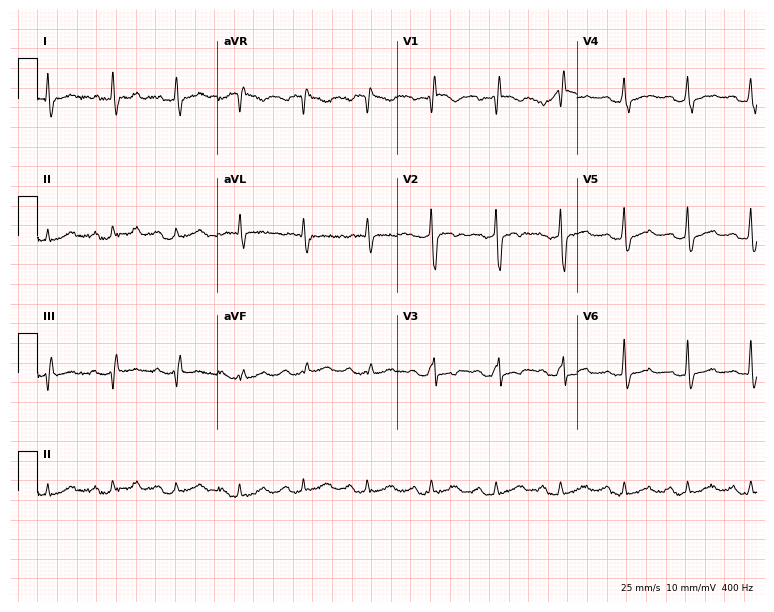
Standard 12-lead ECG recorded from a 68-year-old male. None of these six findings is recorded: first-degree AV block, right bundle branch block (RBBB), left bundle branch block (LBBB), sinus bradycardia, atrial fibrillation (AF), sinus tachycardia.